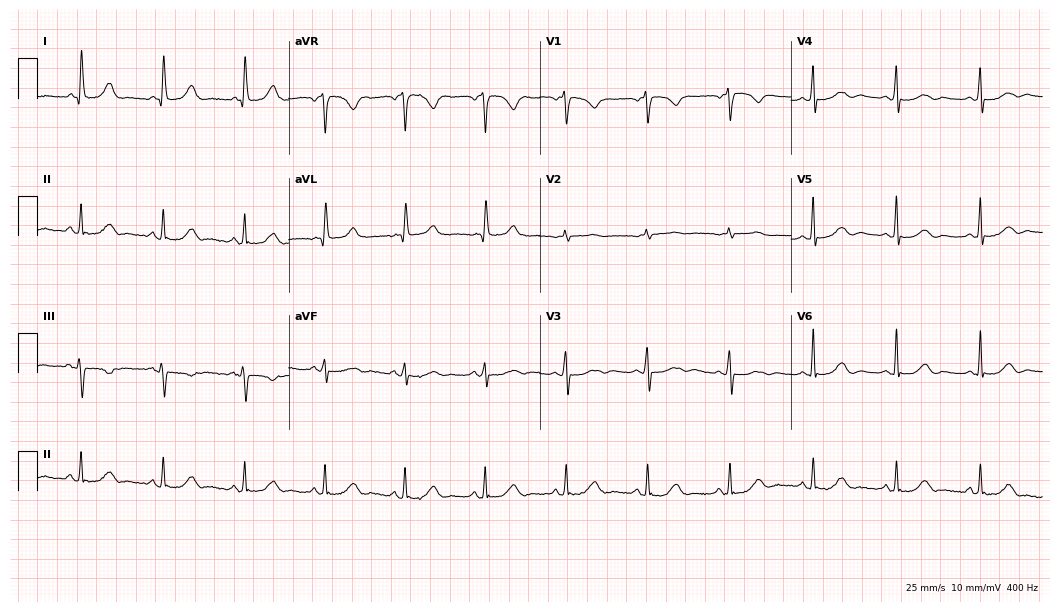
12-lead ECG from a 62-year-old woman. Labelled as a normal ECG.